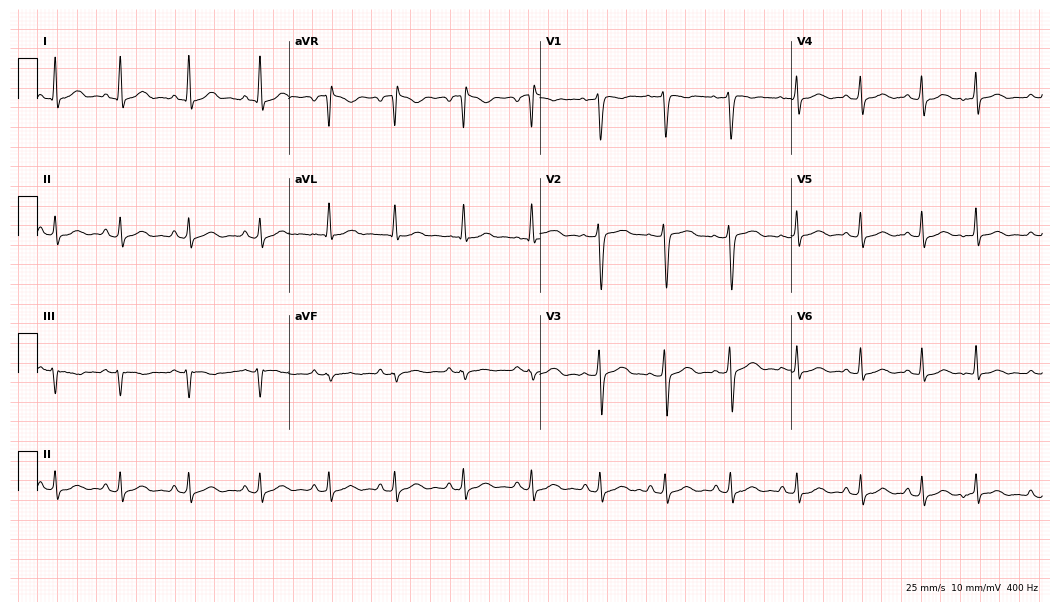
Standard 12-lead ECG recorded from a female, 48 years old. Read as a normal ECG.